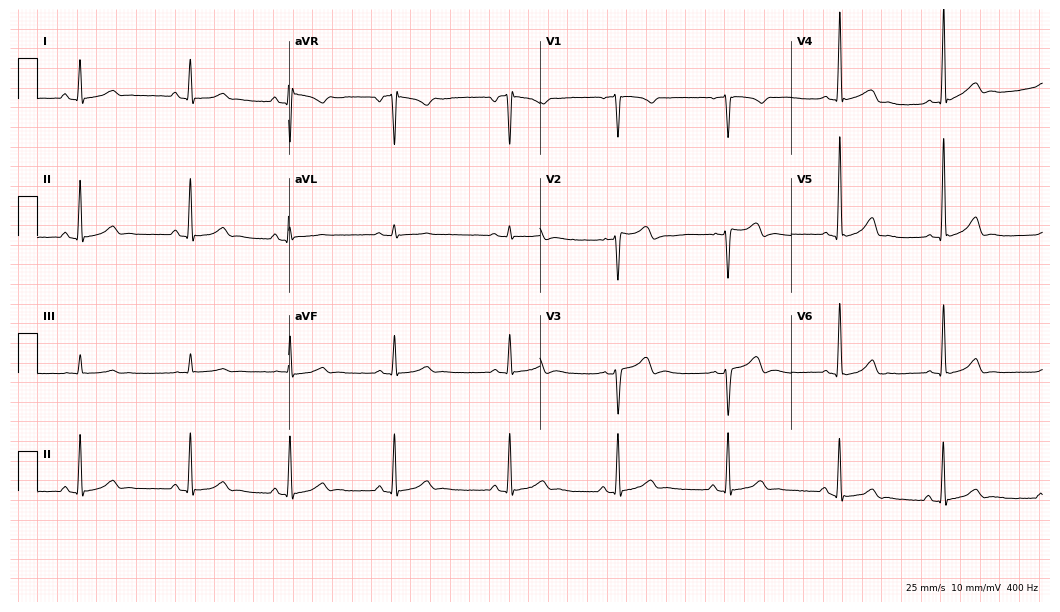
12-lead ECG from a 29-year-old female patient. Screened for six findings — first-degree AV block, right bundle branch block, left bundle branch block, sinus bradycardia, atrial fibrillation, sinus tachycardia — none is recorded.